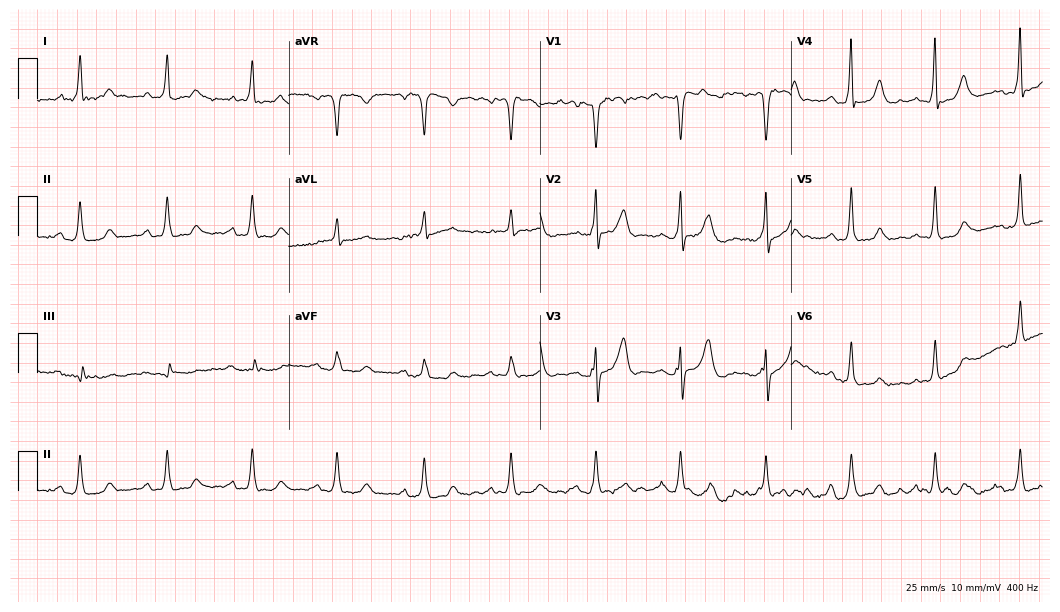
Standard 12-lead ECG recorded from a female patient, 79 years old (10.2-second recording at 400 Hz). None of these six findings is recorded: first-degree AV block, right bundle branch block, left bundle branch block, sinus bradycardia, atrial fibrillation, sinus tachycardia. Findings outside these six are not listed.